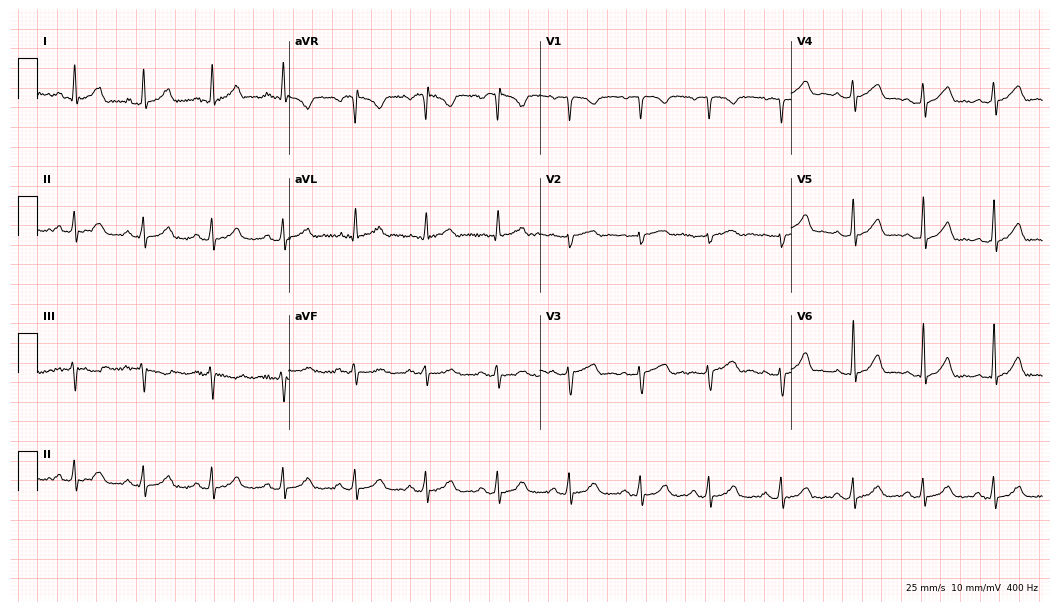
Standard 12-lead ECG recorded from a 24-year-old female patient. Read as a normal ECG.